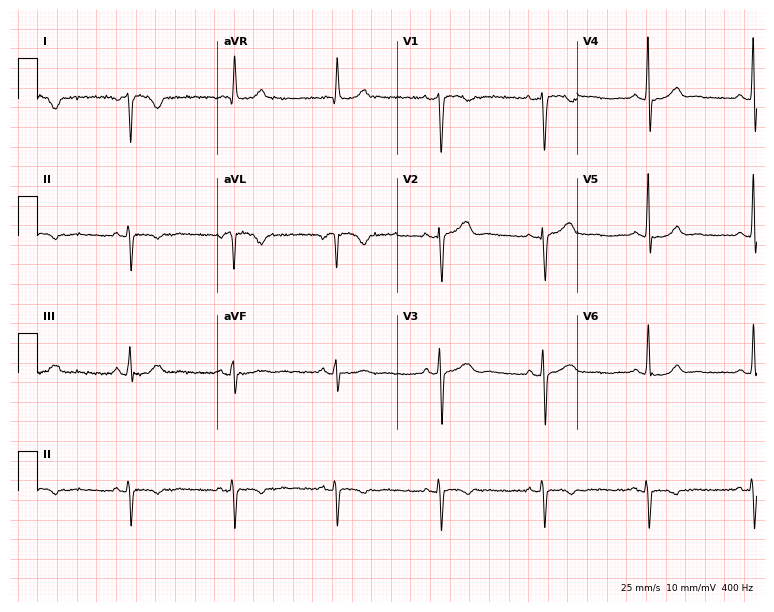
Electrocardiogram, a 46-year-old female patient. Of the six screened findings (first-degree AV block, right bundle branch block, left bundle branch block, sinus bradycardia, atrial fibrillation, sinus tachycardia), none is recorded. Other findings, if any, are not listed.